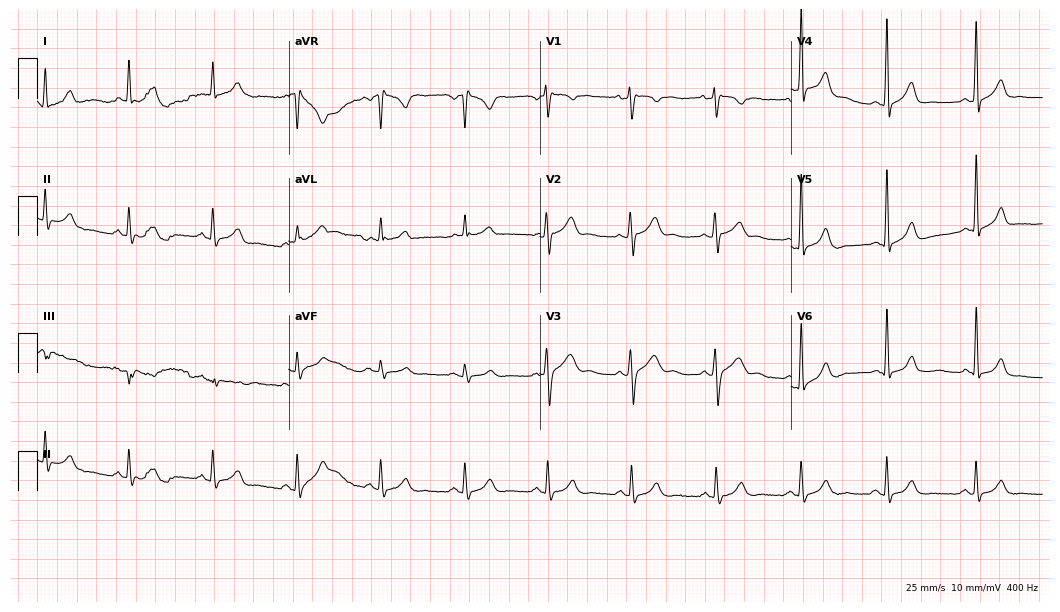
Resting 12-lead electrocardiogram (10.2-second recording at 400 Hz). Patient: a male, 38 years old. Read as a normal ECG.